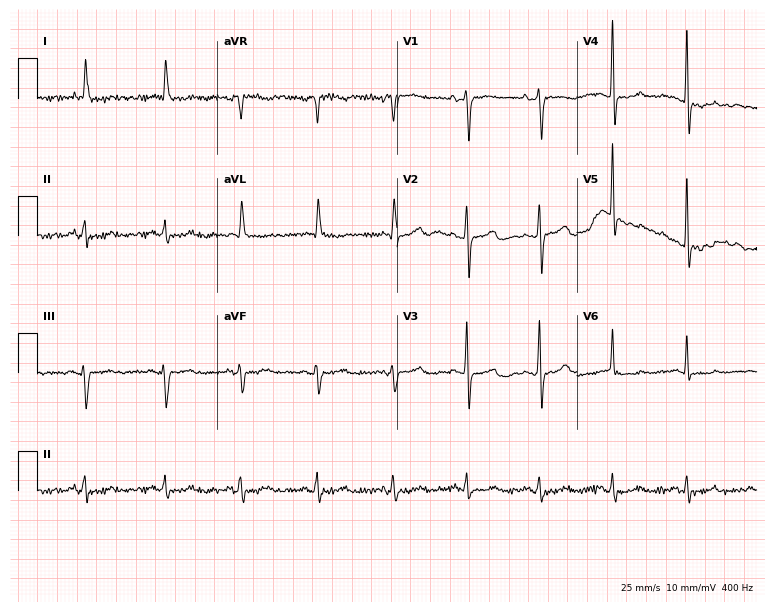
Electrocardiogram, a 68-year-old female patient. Of the six screened findings (first-degree AV block, right bundle branch block, left bundle branch block, sinus bradycardia, atrial fibrillation, sinus tachycardia), none is recorded. Other findings, if any, are not listed.